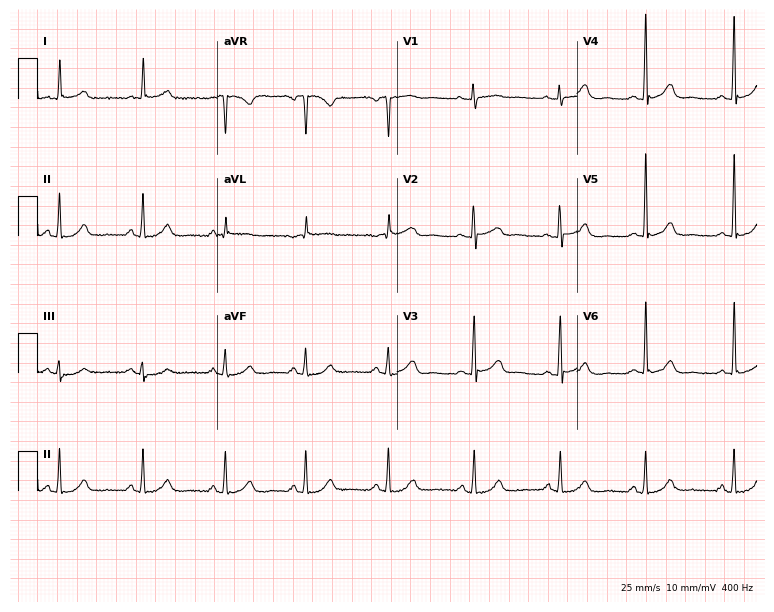
12-lead ECG from a 67-year-old woman (7.3-second recording at 400 Hz). Recorded interpretation: within normal limits.